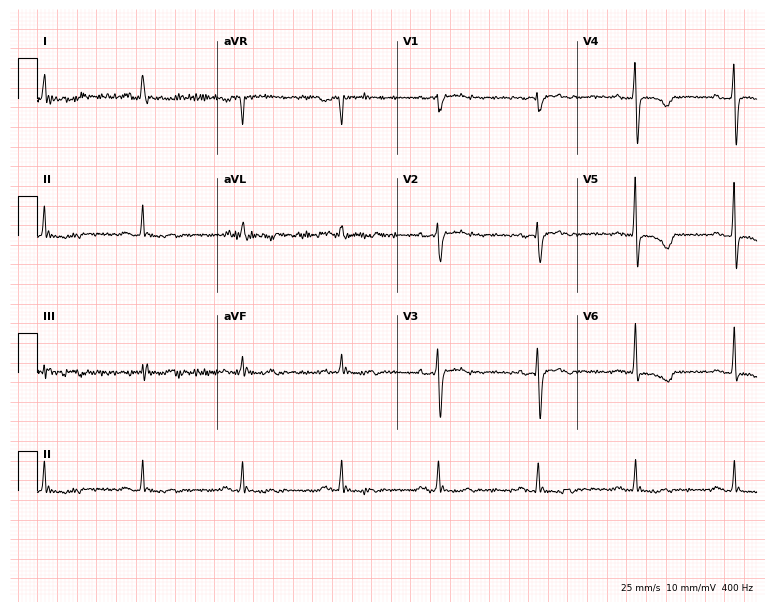
12-lead ECG from a woman, 65 years old. Labelled as a normal ECG.